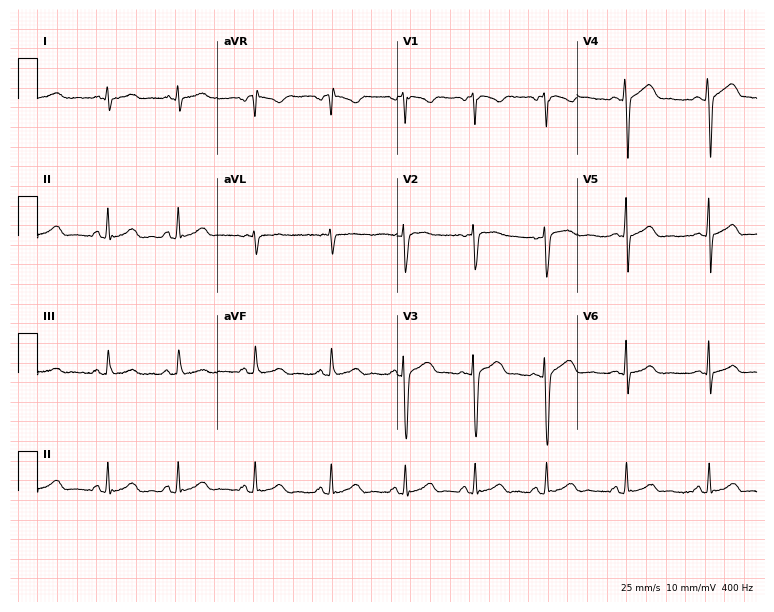
Standard 12-lead ECG recorded from a female, 27 years old (7.3-second recording at 400 Hz). Read as a normal ECG.